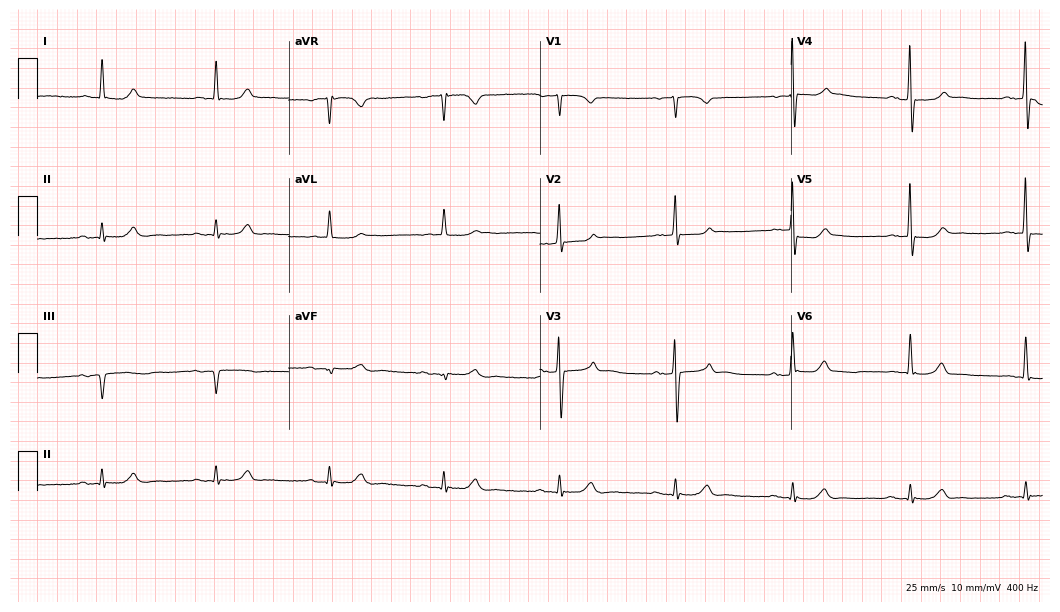
Standard 12-lead ECG recorded from a 78-year-old male patient. Read as a normal ECG.